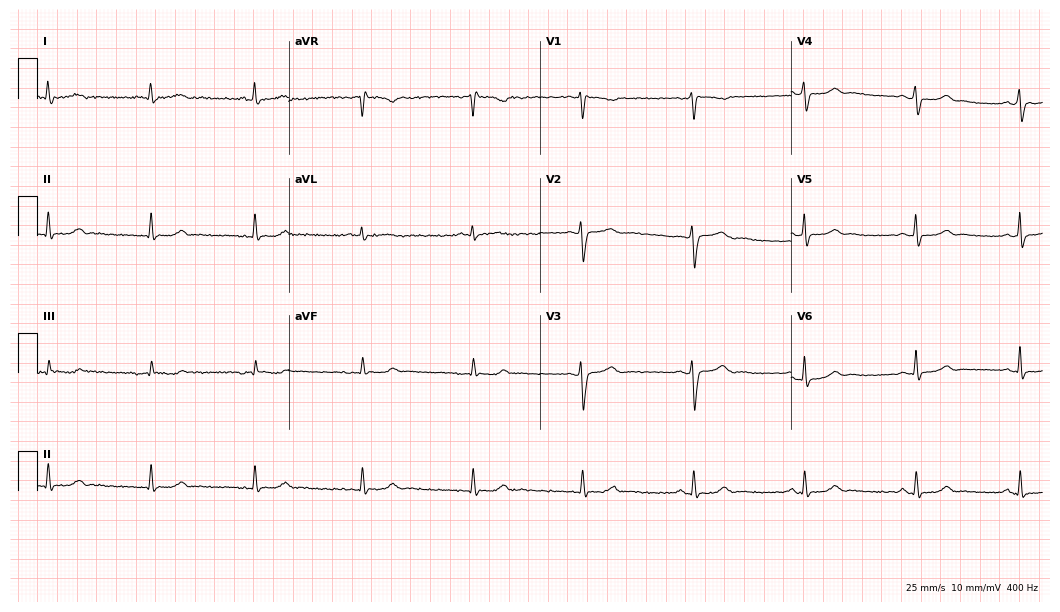
Resting 12-lead electrocardiogram (10.2-second recording at 400 Hz). Patient: a 38-year-old woman. Read as a normal ECG.